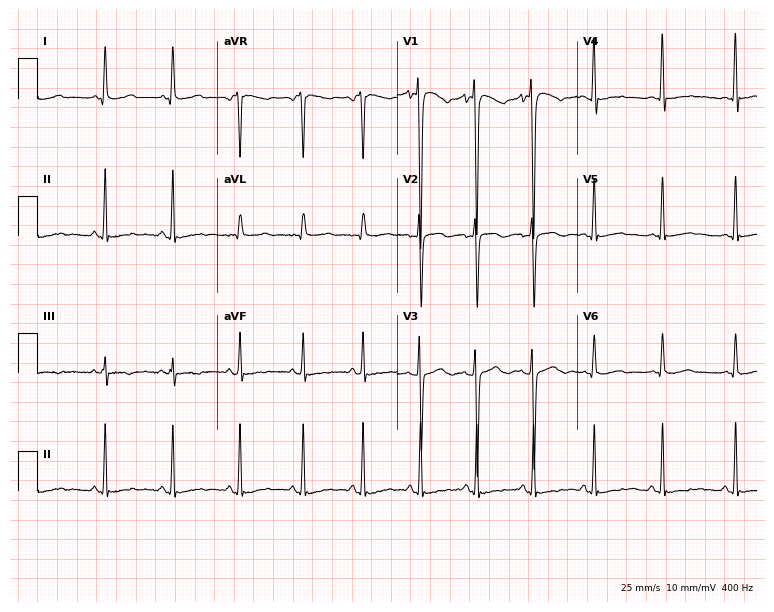
Electrocardiogram (7.3-second recording at 400 Hz), a 19-year-old male patient. Of the six screened findings (first-degree AV block, right bundle branch block (RBBB), left bundle branch block (LBBB), sinus bradycardia, atrial fibrillation (AF), sinus tachycardia), none is recorded.